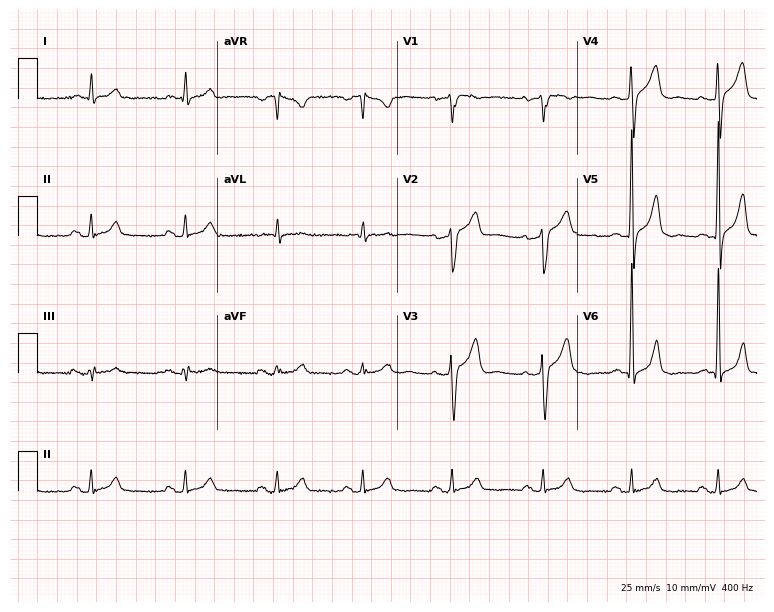
Standard 12-lead ECG recorded from a man, 47 years old. None of these six findings is recorded: first-degree AV block, right bundle branch block, left bundle branch block, sinus bradycardia, atrial fibrillation, sinus tachycardia. Only these six findings were labelled.